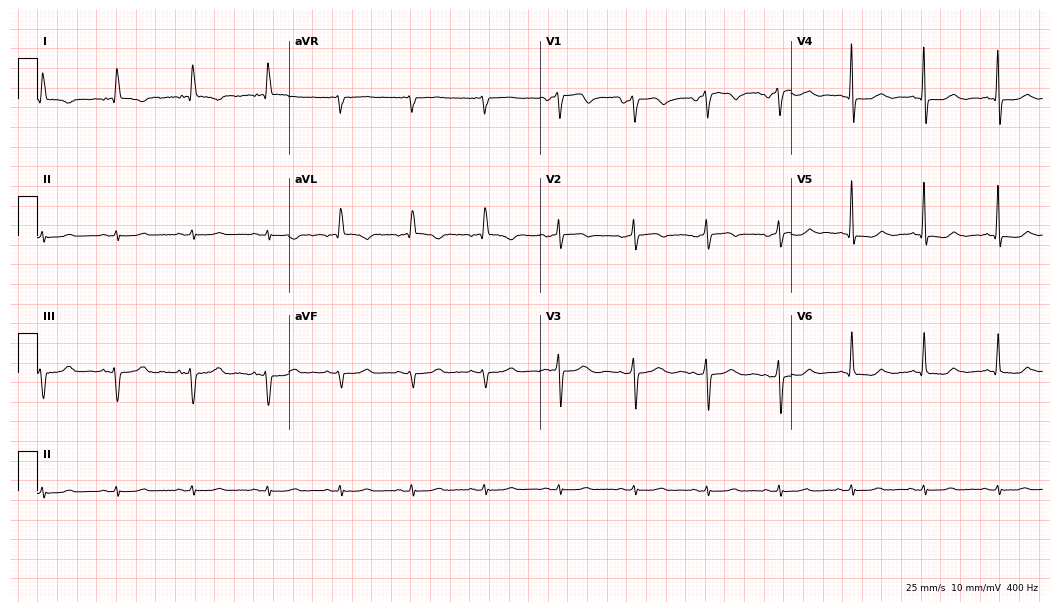
Electrocardiogram (10.2-second recording at 400 Hz), a female patient, 53 years old. Of the six screened findings (first-degree AV block, right bundle branch block, left bundle branch block, sinus bradycardia, atrial fibrillation, sinus tachycardia), none is recorded.